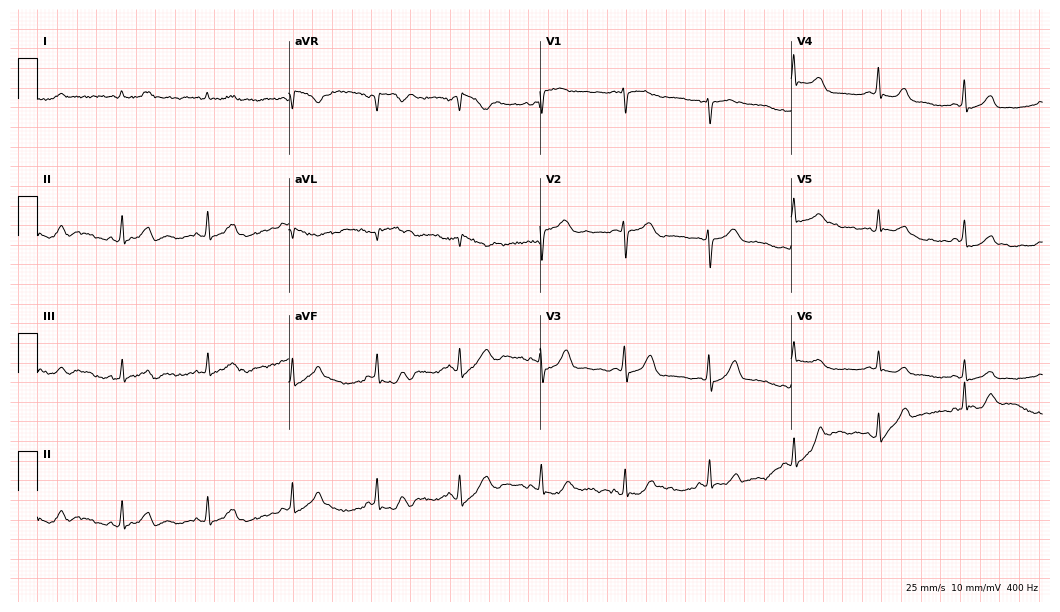
12-lead ECG from a woman, 36 years old (10.2-second recording at 400 Hz). Recorded interpretation: within normal limits.